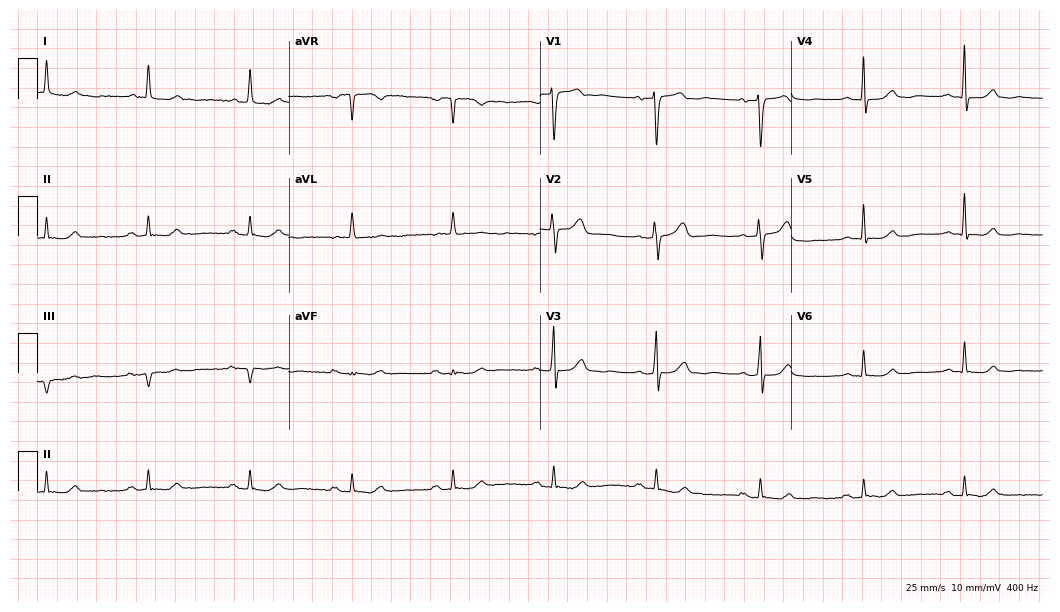
Electrocardiogram (10.2-second recording at 400 Hz), an 83-year-old male patient. Overall reading on record: normal ECG.